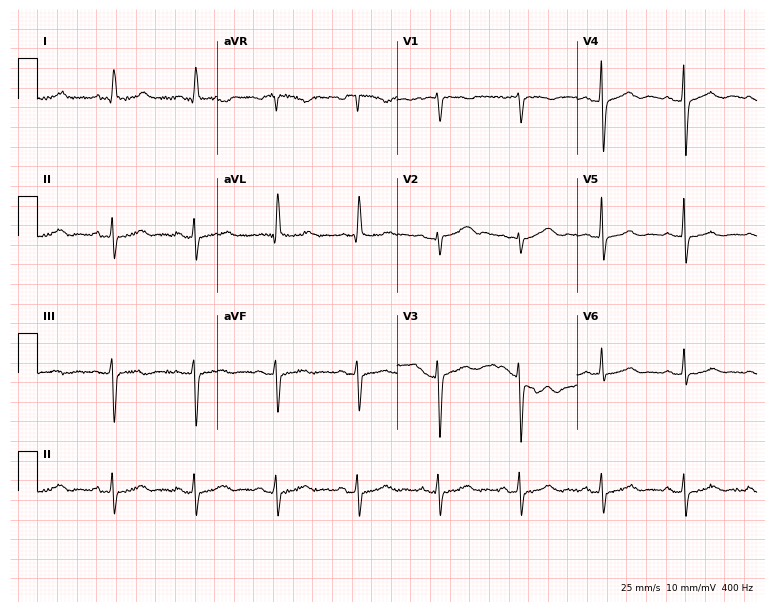
12-lead ECG from a female patient, 74 years old. No first-degree AV block, right bundle branch block, left bundle branch block, sinus bradycardia, atrial fibrillation or sinus tachycardia recorded for this tracing.